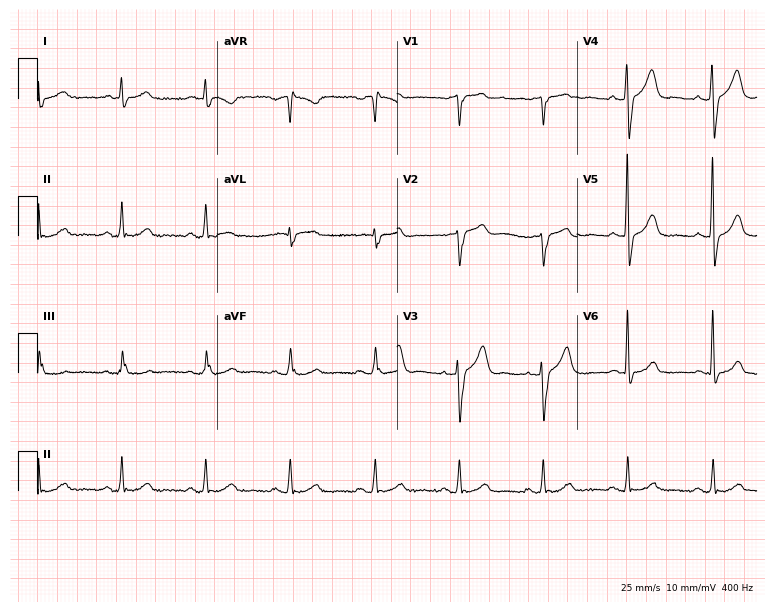
12-lead ECG from a 58-year-old male. Screened for six findings — first-degree AV block, right bundle branch block, left bundle branch block, sinus bradycardia, atrial fibrillation, sinus tachycardia — none is recorded.